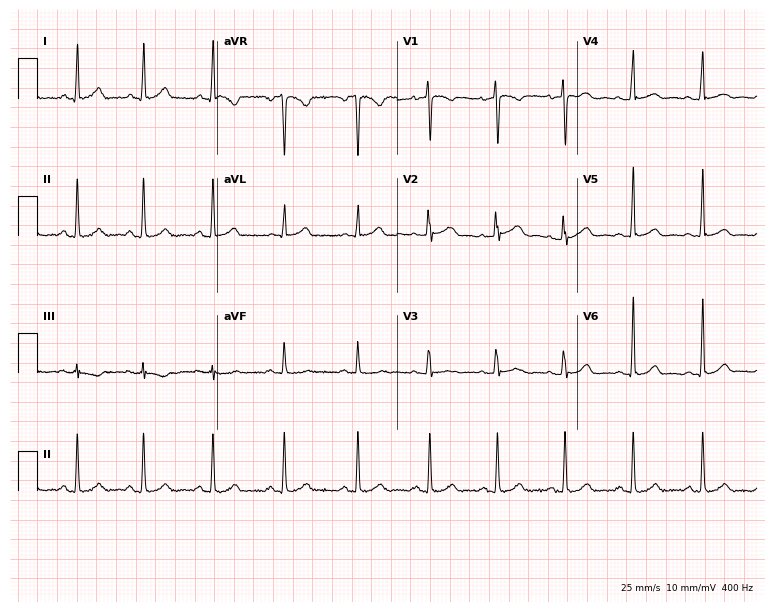
12-lead ECG (7.3-second recording at 400 Hz) from a woman, 37 years old. Screened for six findings — first-degree AV block, right bundle branch block (RBBB), left bundle branch block (LBBB), sinus bradycardia, atrial fibrillation (AF), sinus tachycardia — none is recorded.